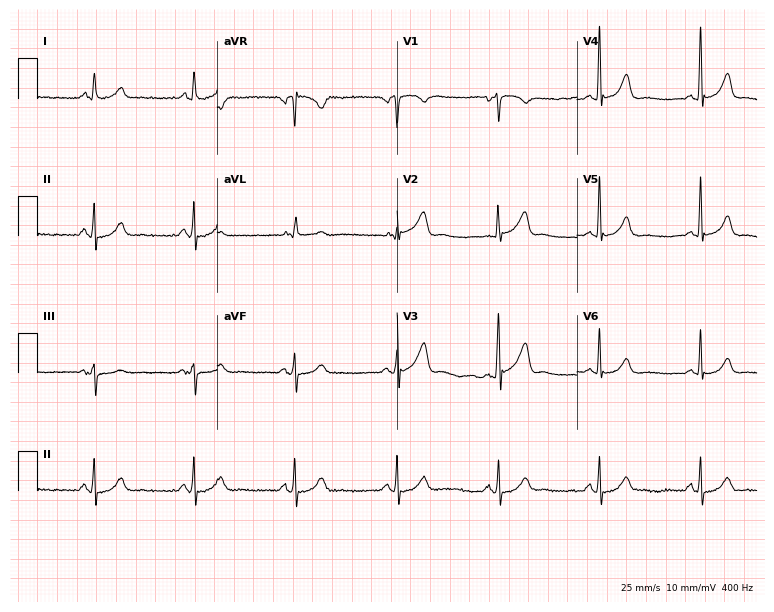
12-lead ECG from a 67-year-old male. Recorded interpretation: within normal limits.